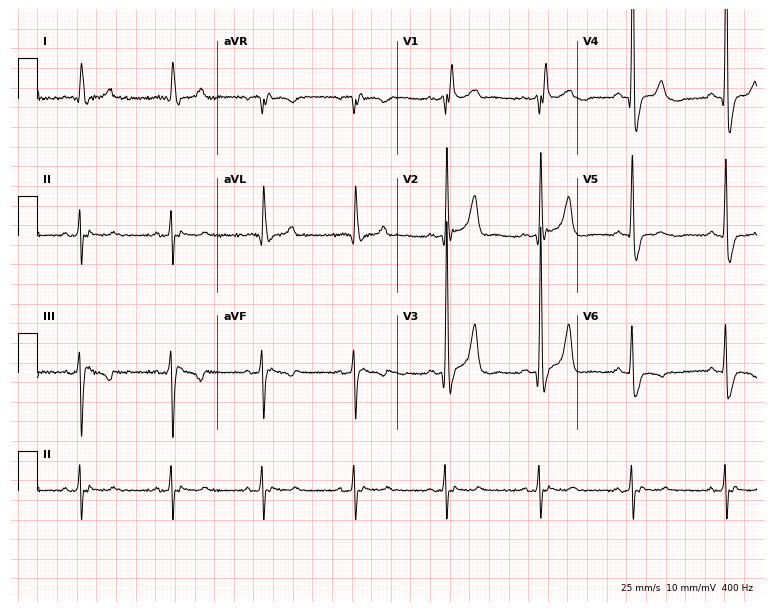
Electrocardiogram (7.3-second recording at 400 Hz), a 70-year-old male. Interpretation includes right bundle branch block.